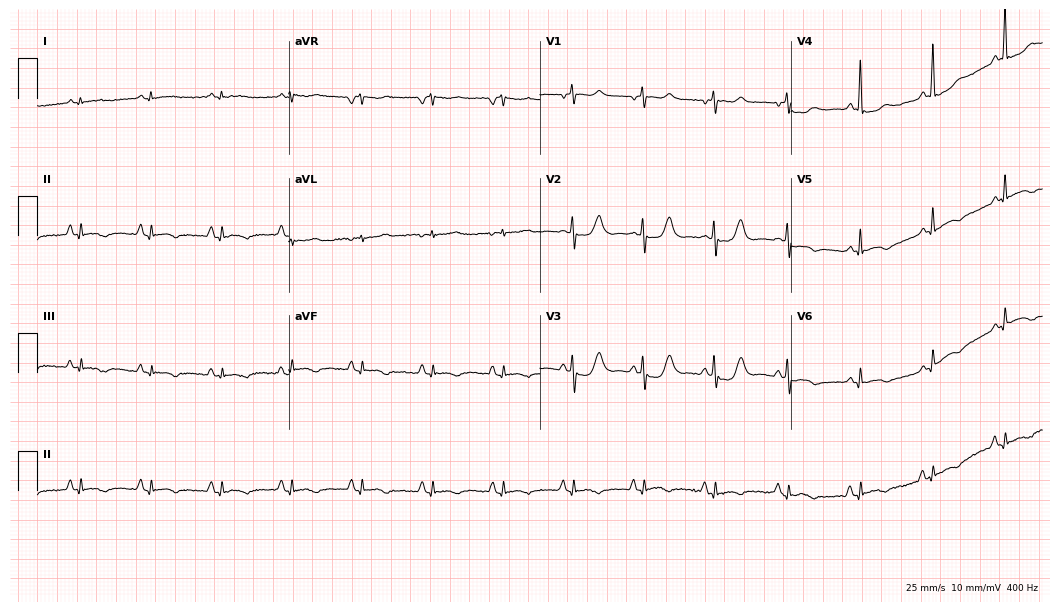
Resting 12-lead electrocardiogram (10.2-second recording at 400 Hz). Patient: a woman, 62 years old. None of these six findings is recorded: first-degree AV block, right bundle branch block, left bundle branch block, sinus bradycardia, atrial fibrillation, sinus tachycardia.